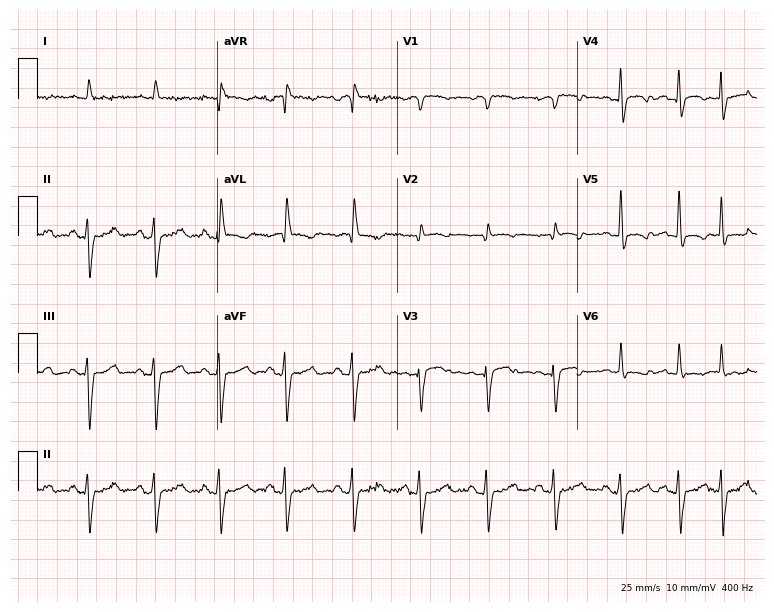
12-lead ECG (7.3-second recording at 400 Hz) from an 85-year-old male patient. Screened for six findings — first-degree AV block, right bundle branch block, left bundle branch block, sinus bradycardia, atrial fibrillation, sinus tachycardia — none is recorded. Findings outside these six are not listed.